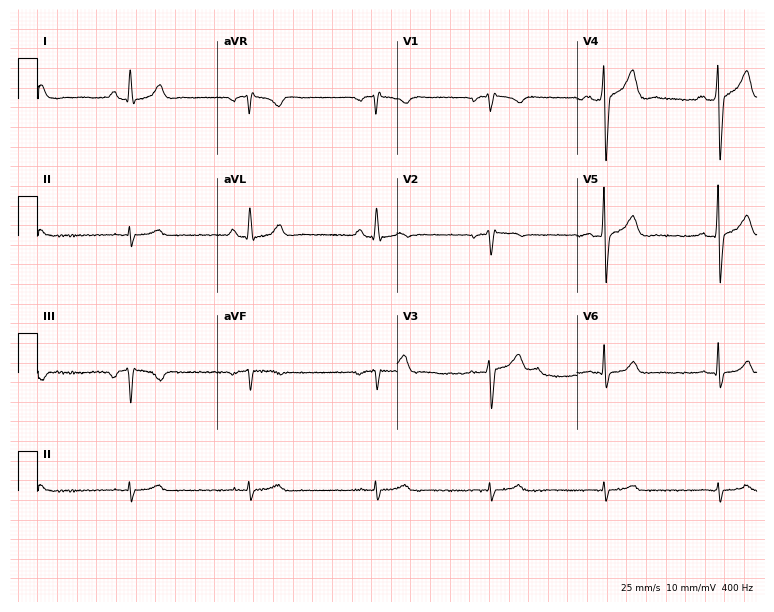
12-lead ECG (7.3-second recording at 400 Hz) from a man, 48 years old. Screened for six findings — first-degree AV block, right bundle branch block, left bundle branch block, sinus bradycardia, atrial fibrillation, sinus tachycardia — none is recorded. Only these six findings were labelled.